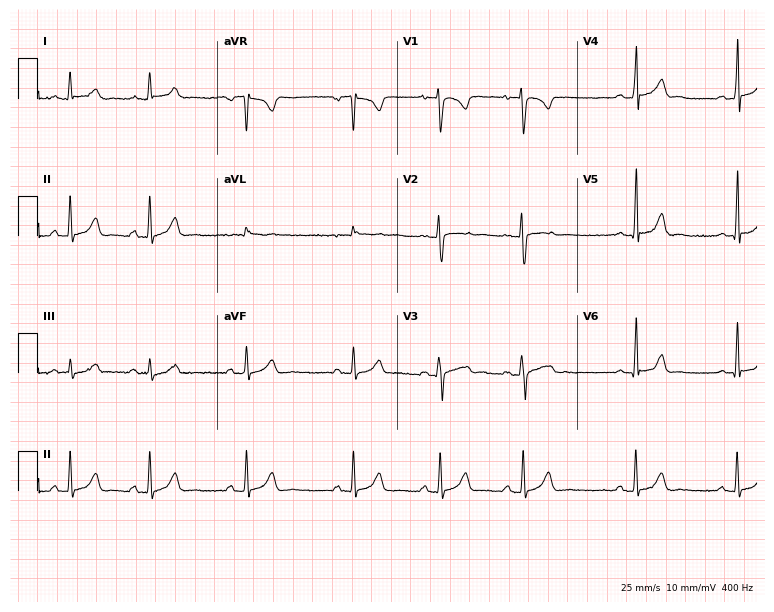
Electrocardiogram, a 21-year-old female patient. Overall reading on record: normal ECG.